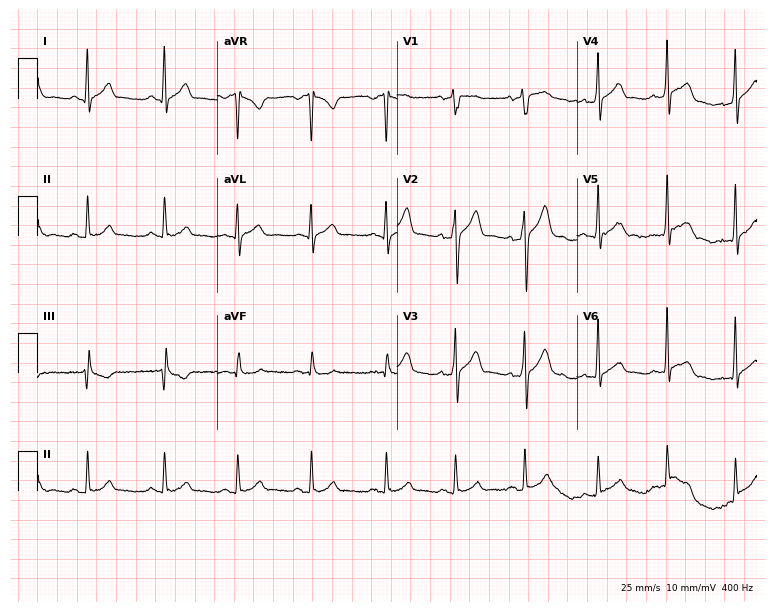
ECG — a 22-year-old male. Labelled as a normal ECG.